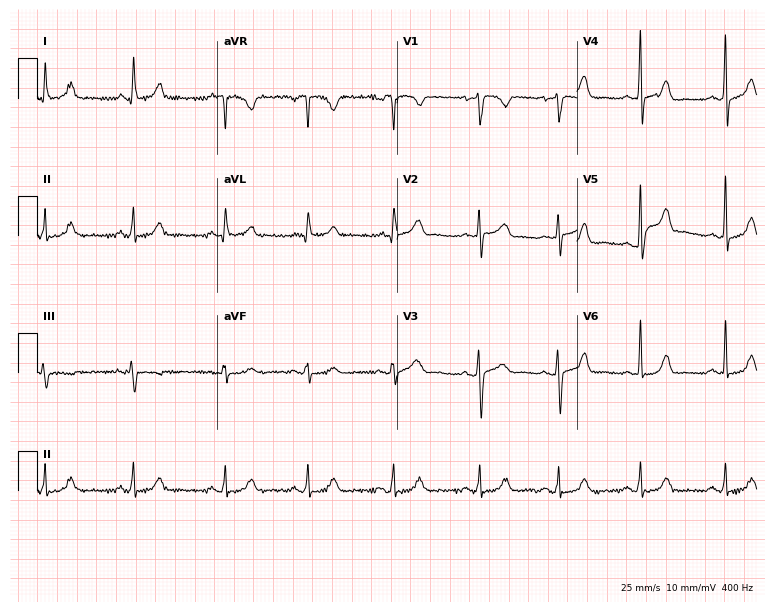
ECG — a 37-year-old female patient. Screened for six findings — first-degree AV block, right bundle branch block, left bundle branch block, sinus bradycardia, atrial fibrillation, sinus tachycardia — none is recorded.